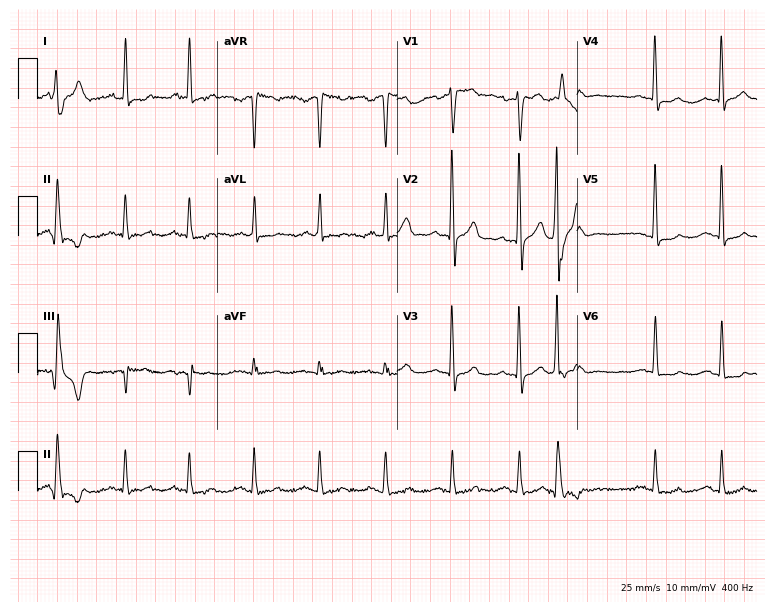
Standard 12-lead ECG recorded from a male patient, 84 years old. None of these six findings is recorded: first-degree AV block, right bundle branch block (RBBB), left bundle branch block (LBBB), sinus bradycardia, atrial fibrillation (AF), sinus tachycardia.